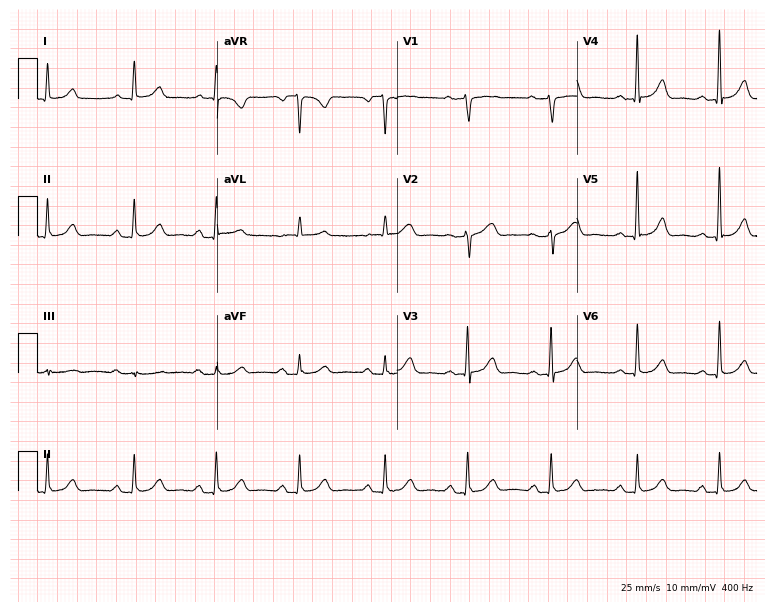
12-lead ECG from a 69-year-old woman. Recorded interpretation: within normal limits.